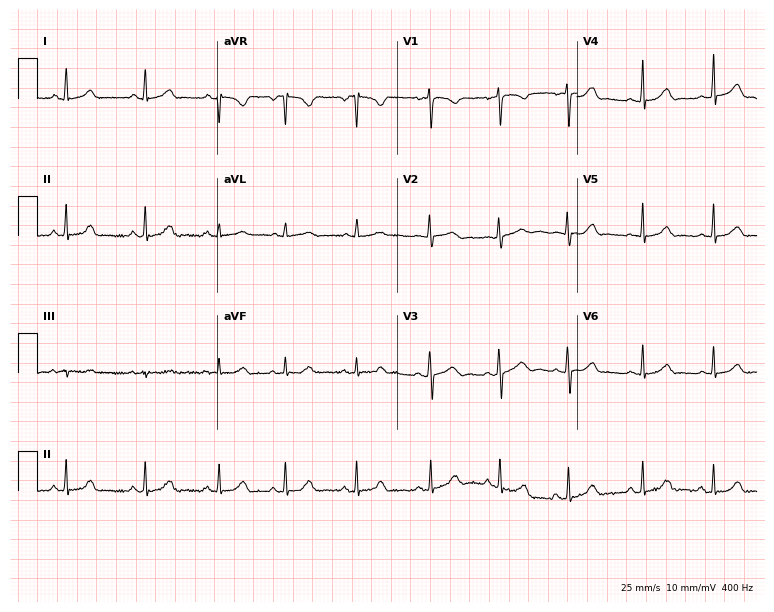
ECG — a 17-year-old female. Labelled as a normal ECG.